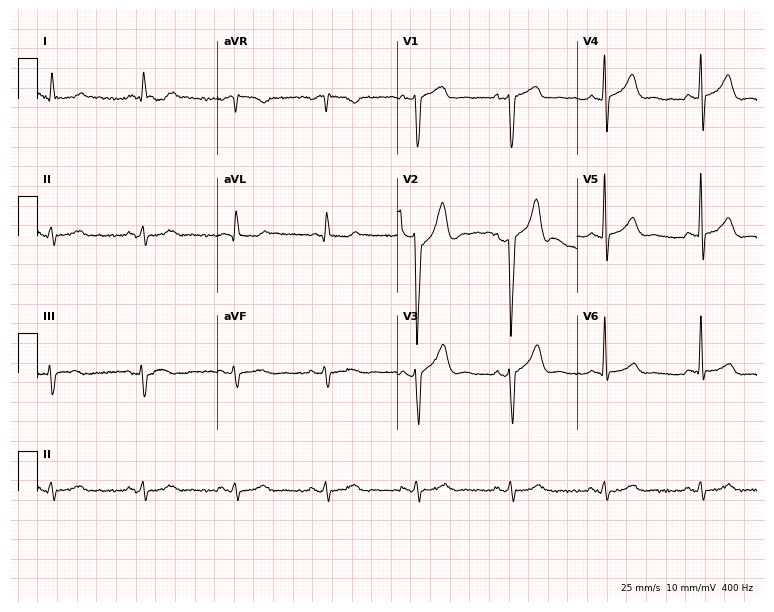
Resting 12-lead electrocardiogram. Patient: a man, 63 years old. None of these six findings is recorded: first-degree AV block, right bundle branch block, left bundle branch block, sinus bradycardia, atrial fibrillation, sinus tachycardia. Findings outside these six are not listed.